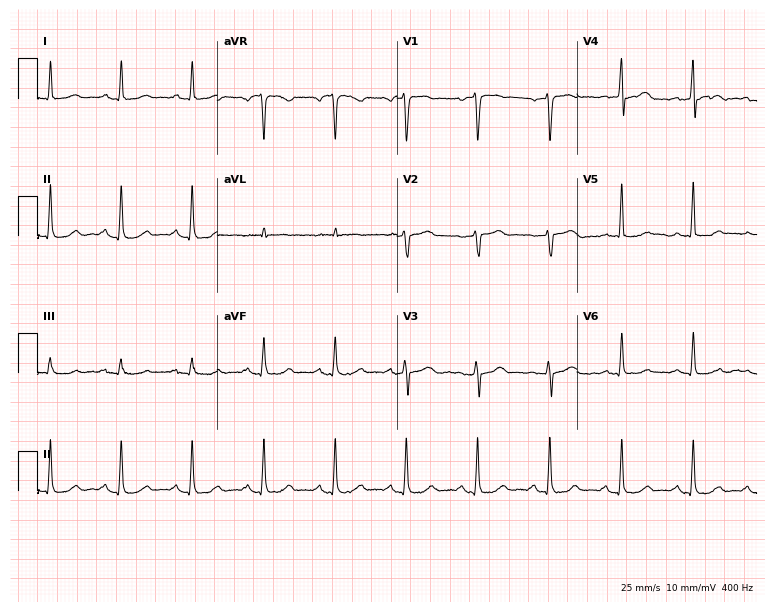
Resting 12-lead electrocardiogram. Patient: a woman, 49 years old. None of these six findings is recorded: first-degree AV block, right bundle branch block (RBBB), left bundle branch block (LBBB), sinus bradycardia, atrial fibrillation (AF), sinus tachycardia. Other findings, if any, are not listed.